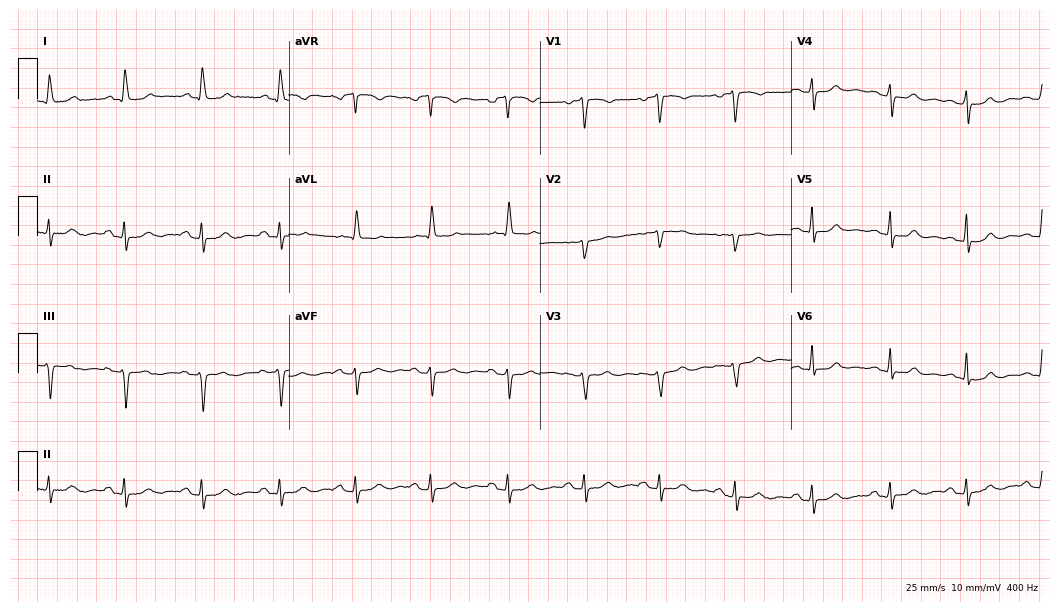
Standard 12-lead ECG recorded from a 61-year-old woman (10.2-second recording at 400 Hz). Read as a normal ECG.